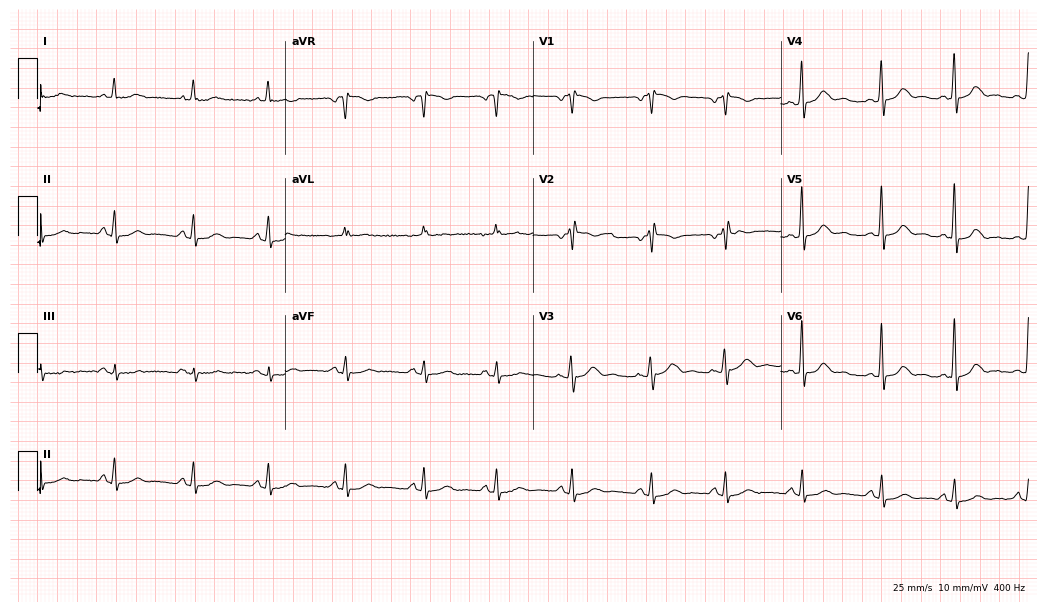
12-lead ECG from a male patient, 67 years old. No first-degree AV block, right bundle branch block (RBBB), left bundle branch block (LBBB), sinus bradycardia, atrial fibrillation (AF) or sinus tachycardia recorded for this tracing.